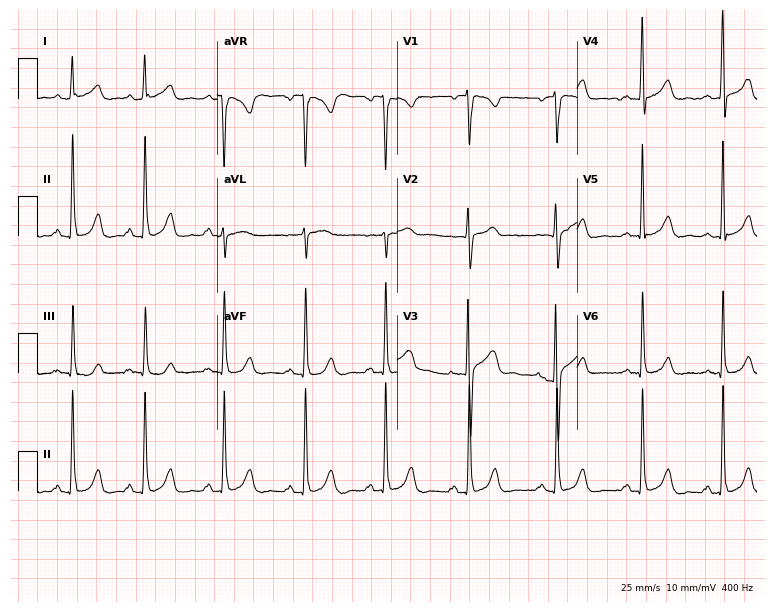
Standard 12-lead ECG recorded from a woman, 45 years old (7.3-second recording at 400 Hz). Read as a normal ECG.